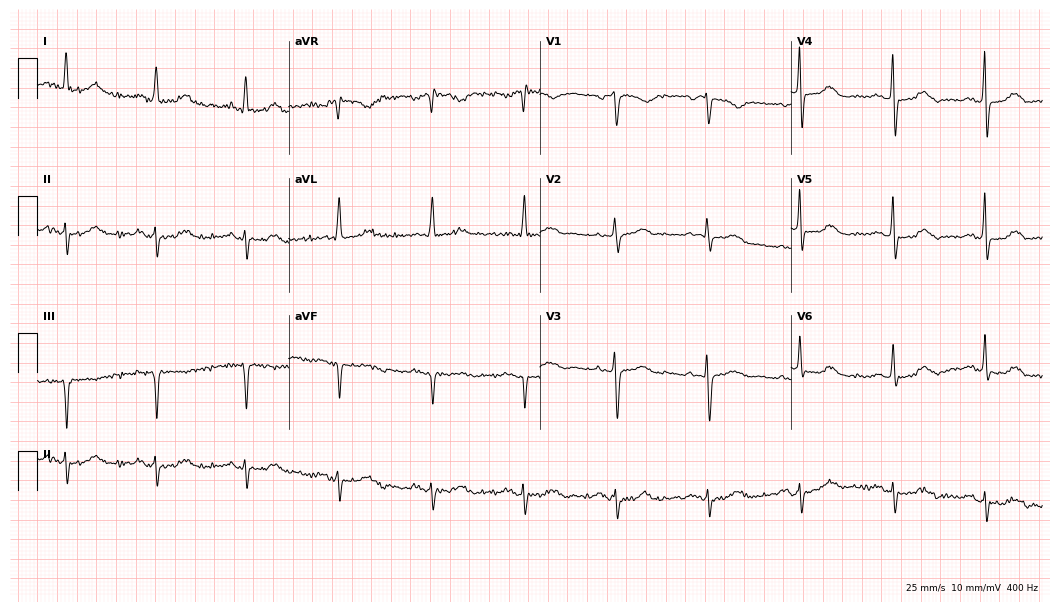
Resting 12-lead electrocardiogram (10.2-second recording at 400 Hz). Patient: a female, 79 years old. None of these six findings is recorded: first-degree AV block, right bundle branch block, left bundle branch block, sinus bradycardia, atrial fibrillation, sinus tachycardia. Other findings, if any, are not listed.